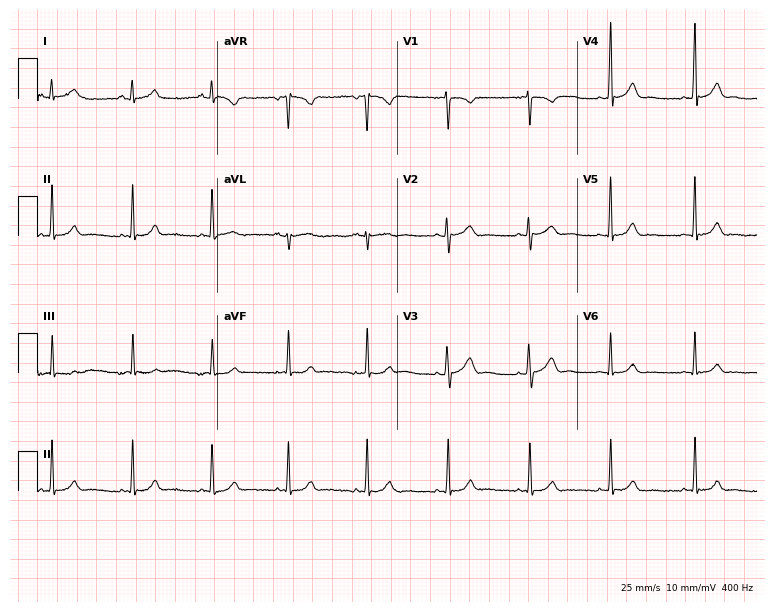
Standard 12-lead ECG recorded from a woman, 28 years old. Read as a normal ECG.